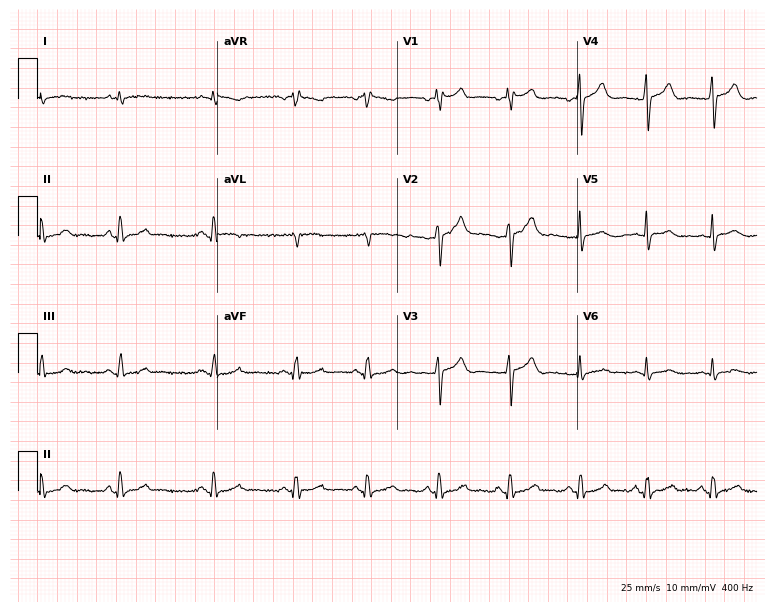
Electrocardiogram, a 40-year-old male. Of the six screened findings (first-degree AV block, right bundle branch block, left bundle branch block, sinus bradycardia, atrial fibrillation, sinus tachycardia), none is recorded. Only these six findings were labelled.